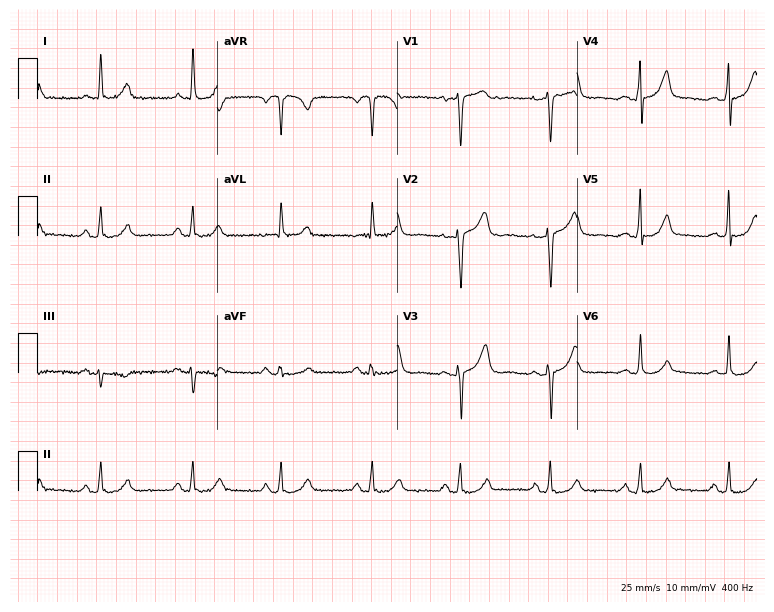
Standard 12-lead ECG recorded from a female patient, 53 years old (7.3-second recording at 400 Hz). Read as a normal ECG.